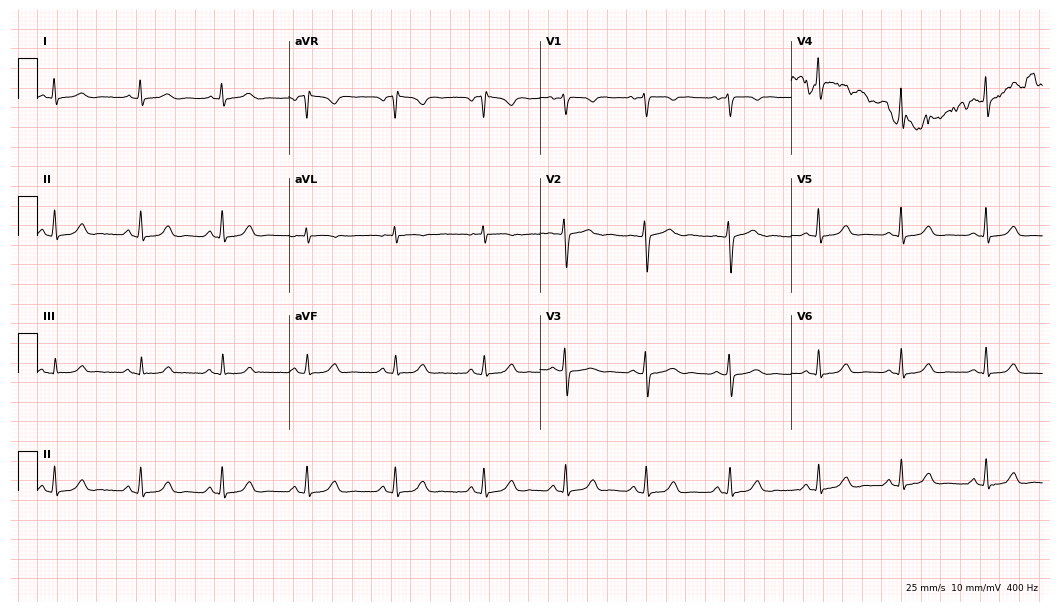
Electrocardiogram, a female patient, 39 years old. Overall reading on record: normal ECG.